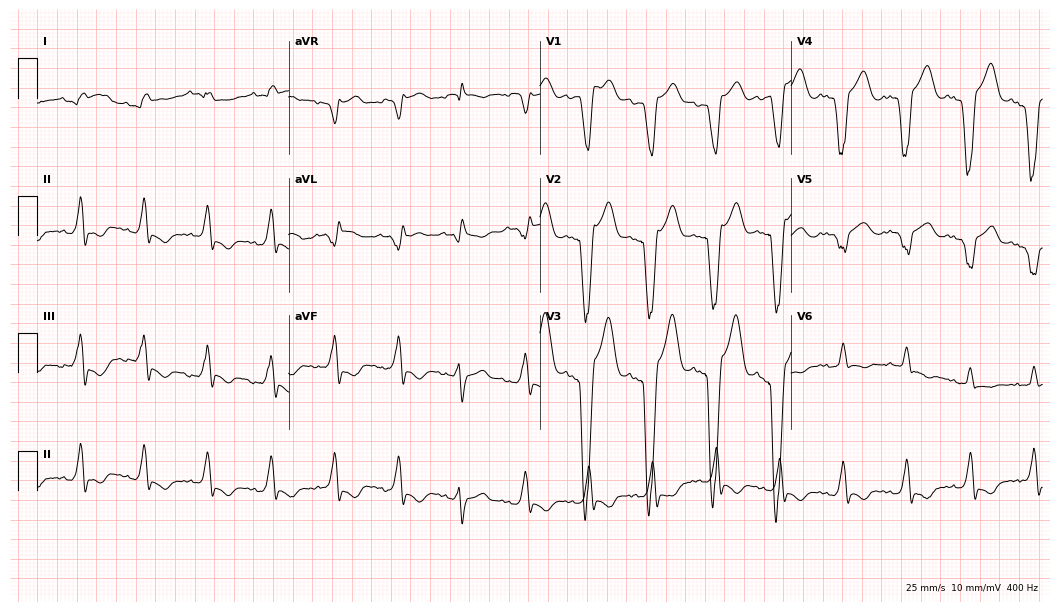
Standard 12-lead ECG recorded from a male patient, 29 years old. The tracing shows left bundle branch block.